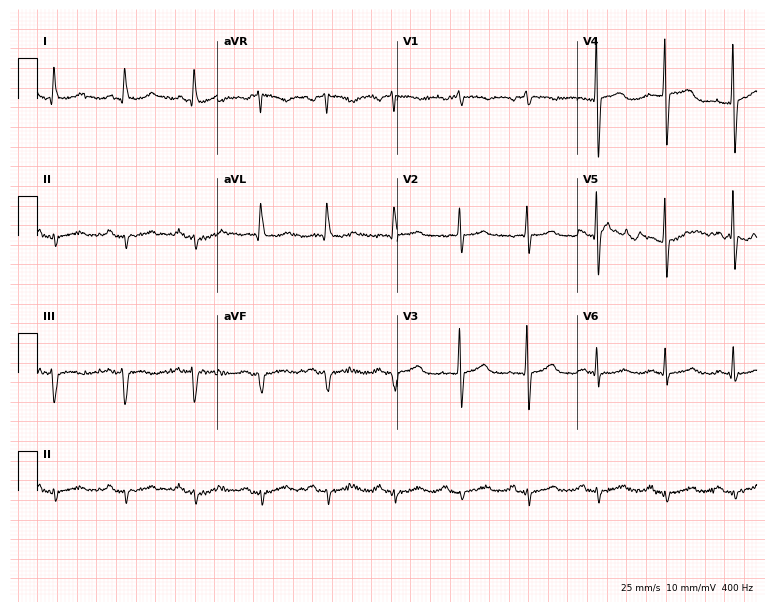
12-lead ECG from an 86-year-old female patient. Screened for six findings — first-degree AV block, right bundle branch block, left bundle branch block, sinus bradycardia, atrial fibrillation, sinus tachycardia — none is recorded.